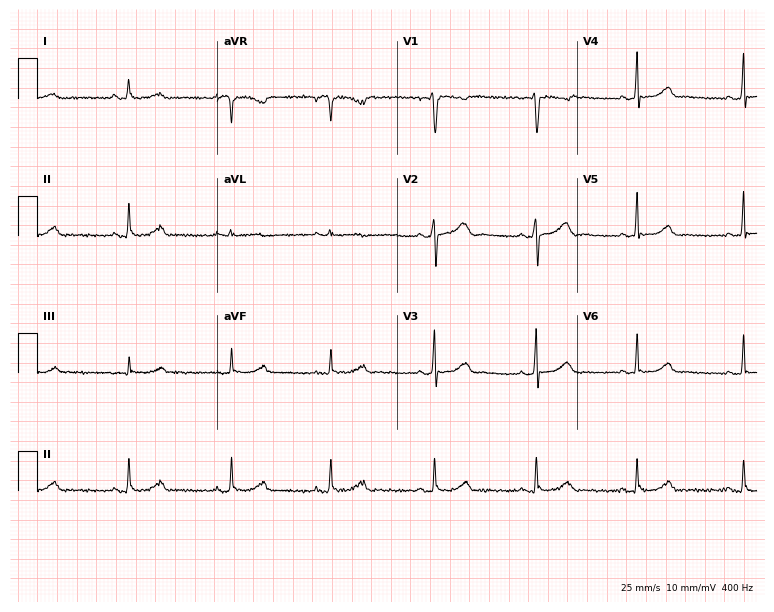
12-lead ECG from a 24-year-old woman. No first-degree AV block, right bundle branch block (RBBB), left bundle branch block (LBBB), sinus bradycardia, atrial fibrillation (AF) or sinus tachycardia recorded for this tracing.